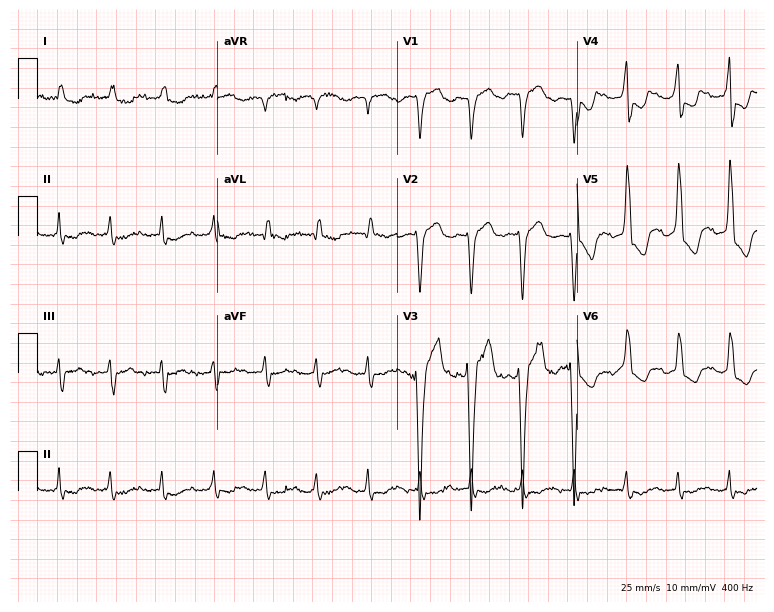
12-lead ECG from a 78-year-old man. Findings include left bundle branch block (LBBB), sinus tachycardia (a sinus rate of 100 beats per minute or more).